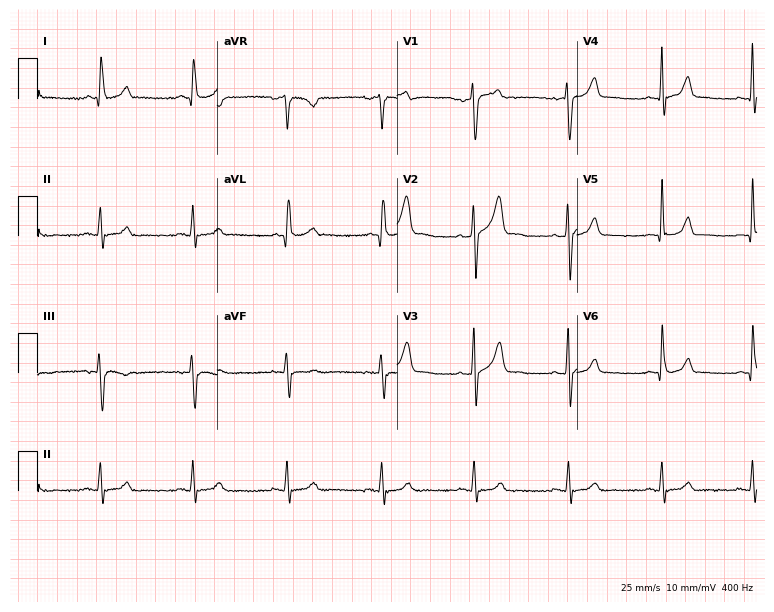
12-lead ECG from a woman, 46 years old. No first-degree AV block, right bundle branch block (RBBB), left bundle branch block (LBBB), sinus bradycardia, atrial fibrillation (AF) or sinus tachycardia recorded for this tracing.